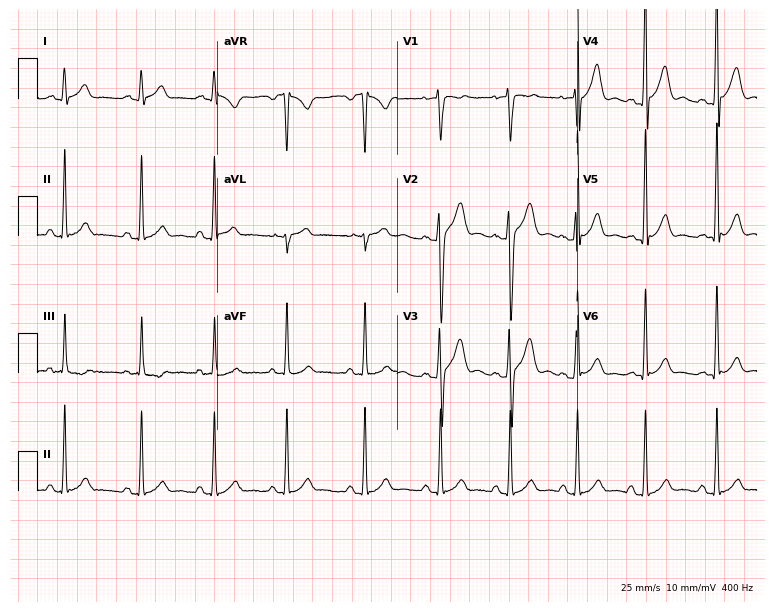
Resting 12-lead electrocardiogram. Patient: a 25-year-old man. None of these six findings is recorded: first-degree AV block, right bundle branch block, left bundle branch block, sinus bradycardia, atrial fibrillation, sinus tachycardia.